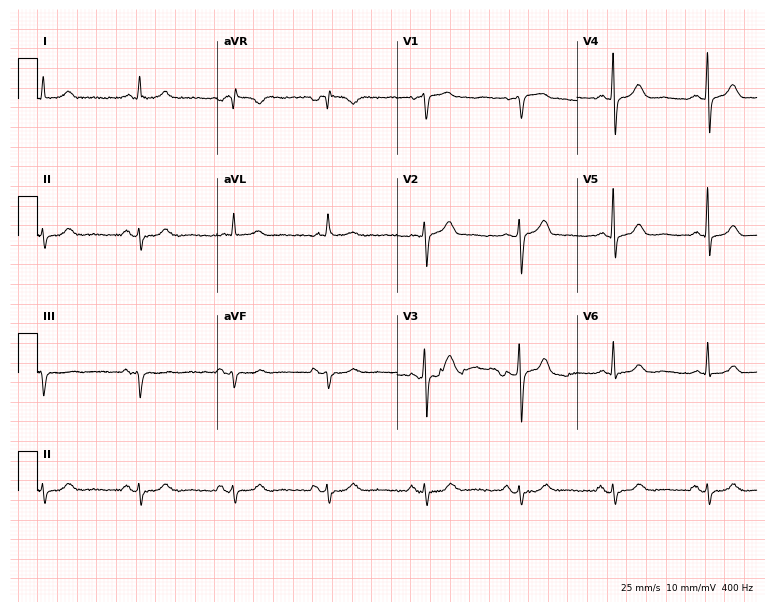
ECG — an 82-year-old male patient. Screened for six findings — first-degree AV block, right bundle branch block (RBBB), left bundle branch block (LBBB), sinus bradycardia, atrial fibrillation (AF), sinus tachycardia — none is recorded. Only these six findings were labelled.